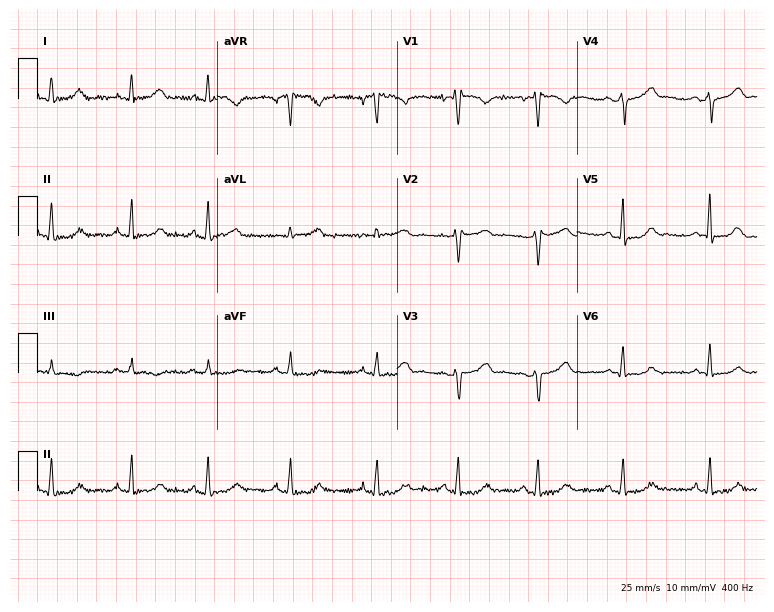
ECG — a female patient, 42 years old. Labelled as a normal ECG.